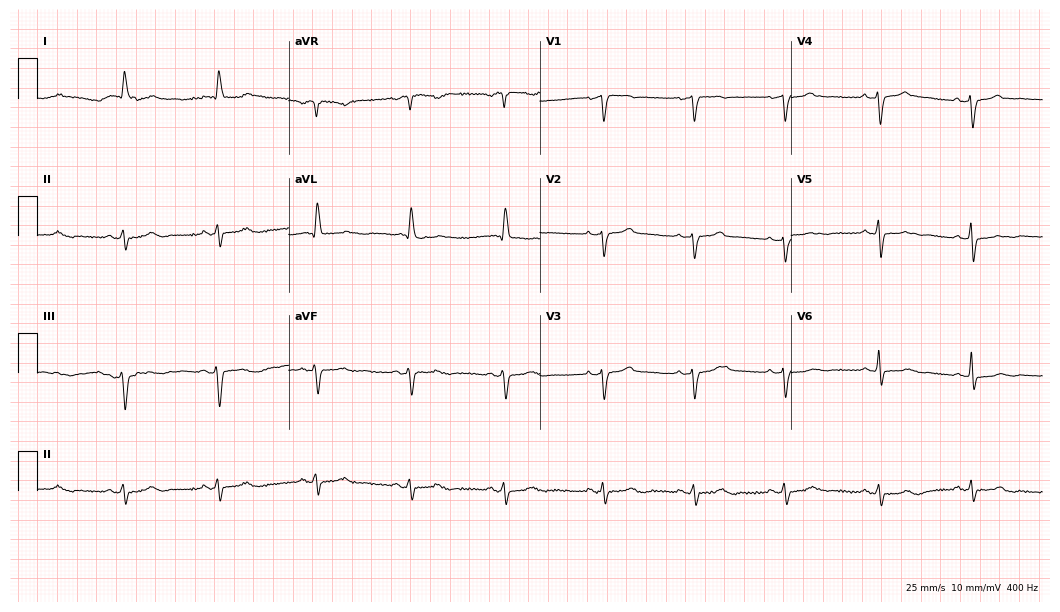
Standard 12-lead ECG recorded from a woman, 69 years old. None of these six findings is recorded: first-degree AV block, right bundle branch block, left bundle branch block, sinus bradycardia, atrial fibrillation, sinus tachycardia. Findings outside these six are not listed.